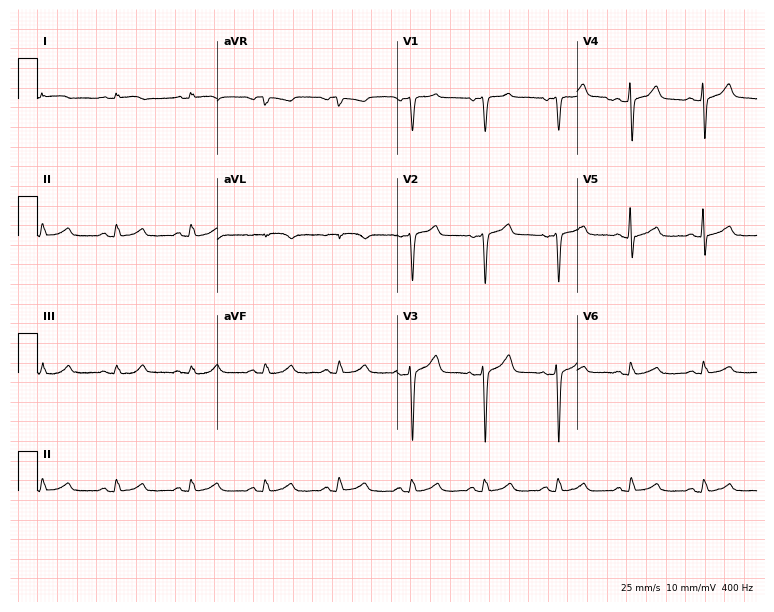
12-lead ECG from a 67-year-old male patient. Screened for six findings — first-degree AV block, right bundle branch block, left bundle branch block, sinus bradycardia, atrial fibrillation, sinus tachycardia — none is recorded.